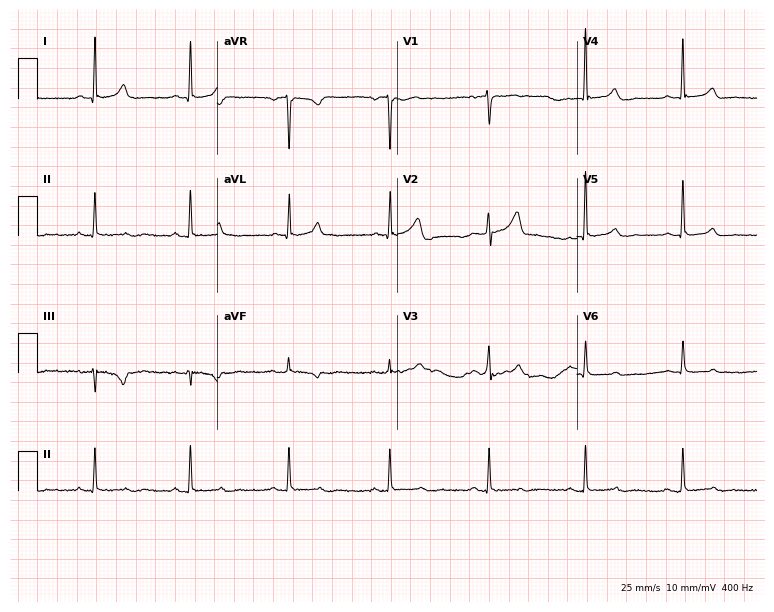
Electrocardiogram (7.3-second recording at 400 Hz), a 65-year-old female. Of the six screened findings (first-degree AV block, right bundle branch block (RBBB), left bundle branch block (LBBB), sinus bradycardia, atrial fibrillation (AF), sinus tachycardia), none is recorded. Only these six findings were labelled.